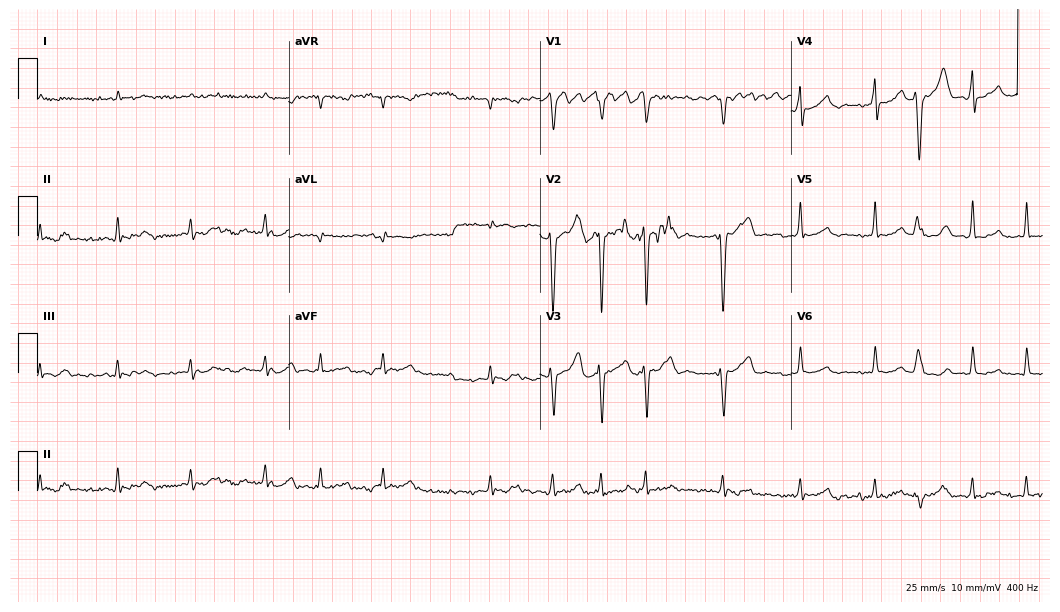
12-lead ECG from a 55-year-old male. No first-degree AV block, right bundle branch block, left bundle branch block, sinus bradycardia, atrial fibrillation or sinus tachycardia recorded for this tracing. Findings outside these six are not listed.